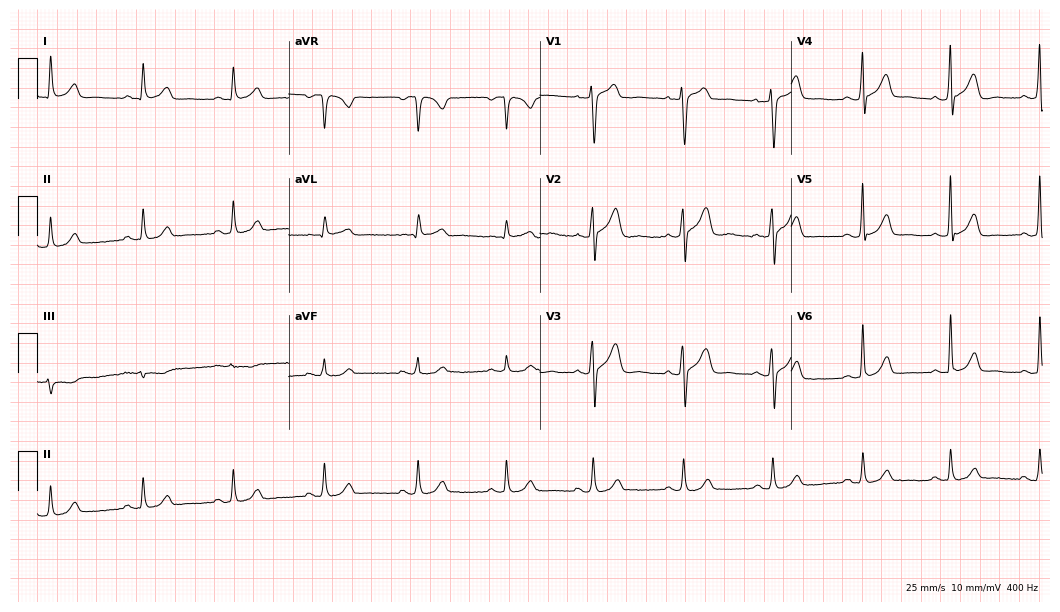
Resting 12-lead electrocardiogram. Patient: a 46-year-old man. Read as a normal ECG.